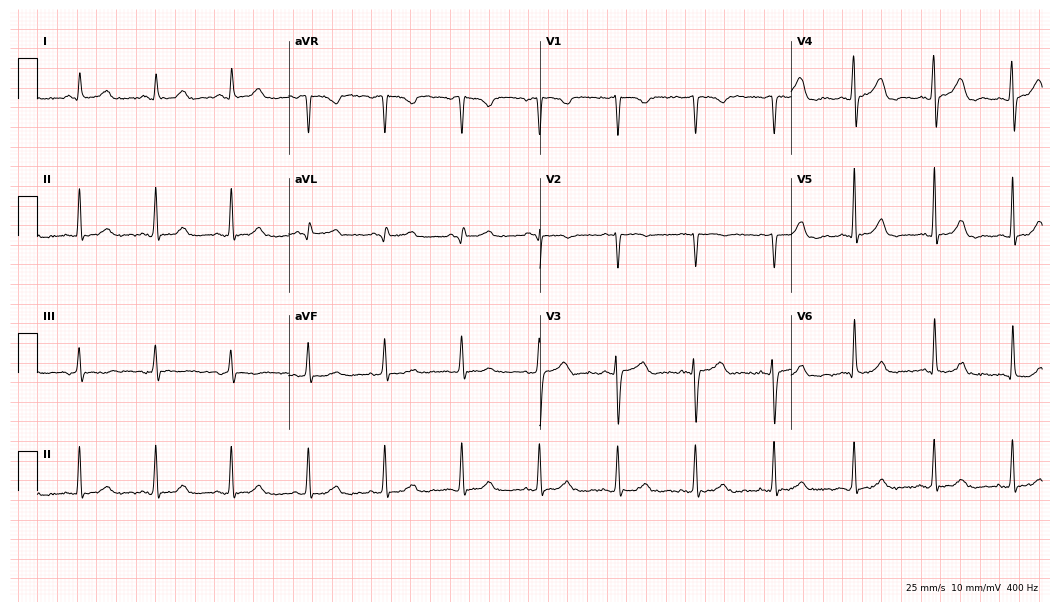
Resting 12-lead electrocardiogram. Patient: a woman, 43 years old. None of these six findings is recorded: first-degree AV block, right bundle branch block (RBBB), left bundle branch block (LBBB), sinus bradycardia, atrial fibrillation (AF), sinus tachycardia.